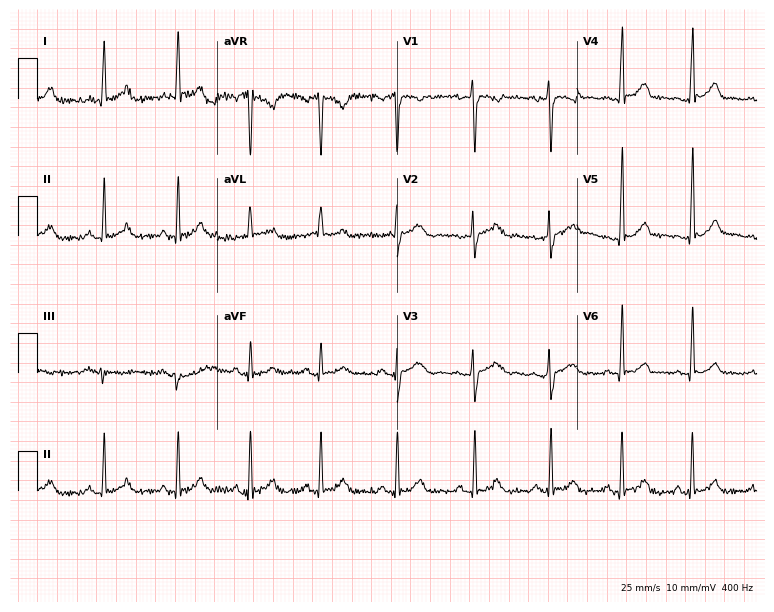
12-lead ECG from a 34-year-old female. No first-degree AV block, right bundle branch block, left bundle branch block, sinus bradycardia, atrial fibrillation or sinus tachycardia recorded for this tracing. Other findings, if any, are not listed.